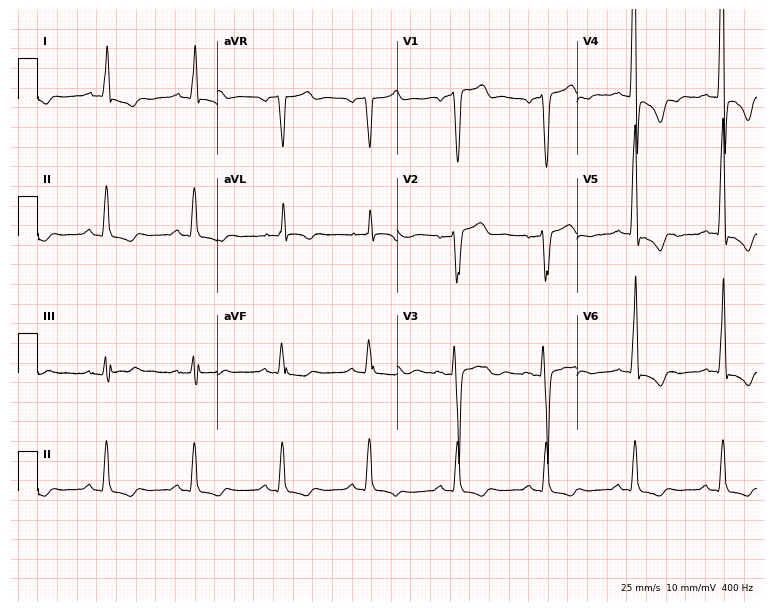
Electrocardiogram, a man, 67 years old. Of the six screened findings (first-degree AV block, right bundle branch block, left bundle branch block, sinus bradycardia, atrial fibrillation, sinus tachycardia), none is recorded.